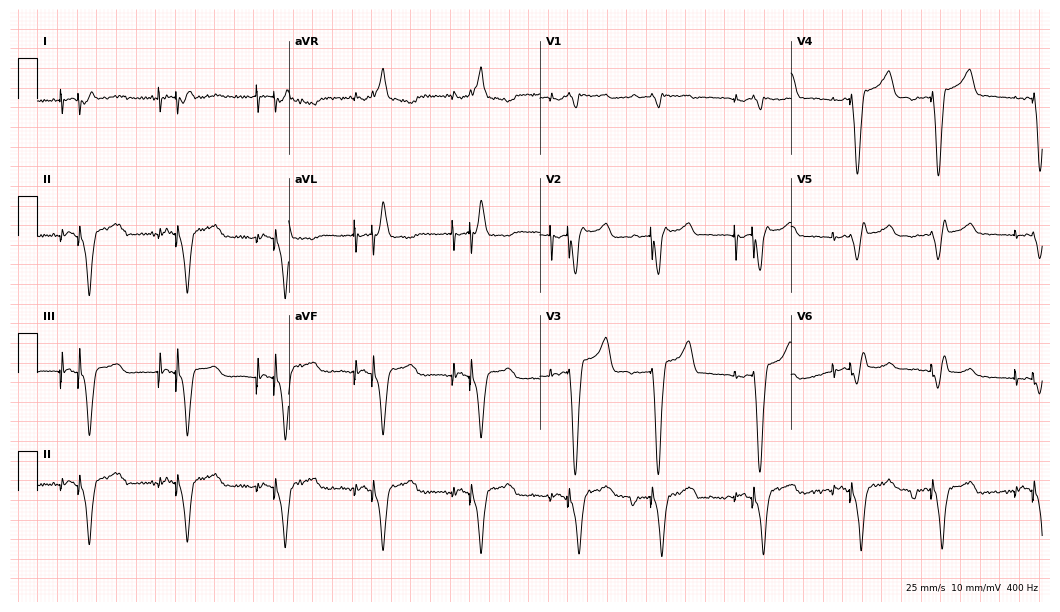
Resting 12-lead electrocardiogram. Patient: a 59-year-old male. None of these six findings is recorded: first-degree AV block, right bundle branch block (RBBB), left bundle branch block (LBBB), sinus bradycardia, atrial fibrillation (AF), sinus tachycardia. Other findings, if any, are not listed.